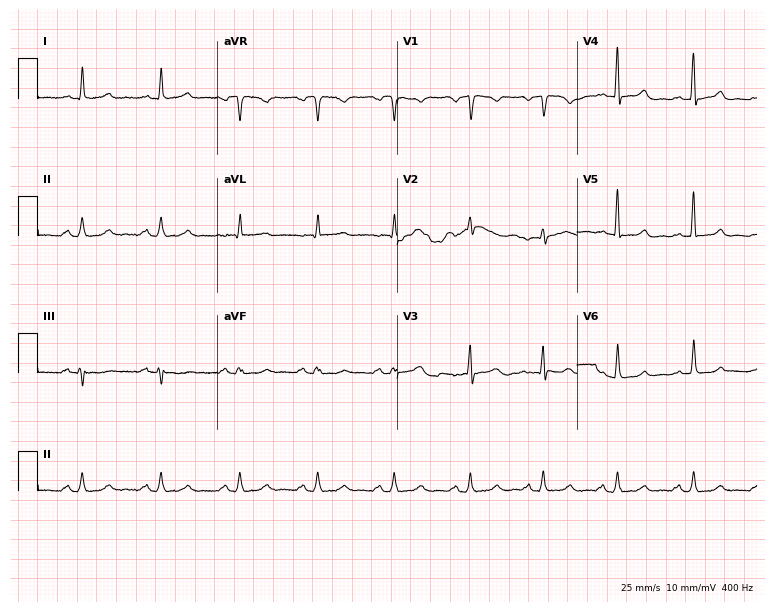
ECG (7.3-second recording at 400 Hz) — a 42-year-old woman. Labelled as a normal ECG.